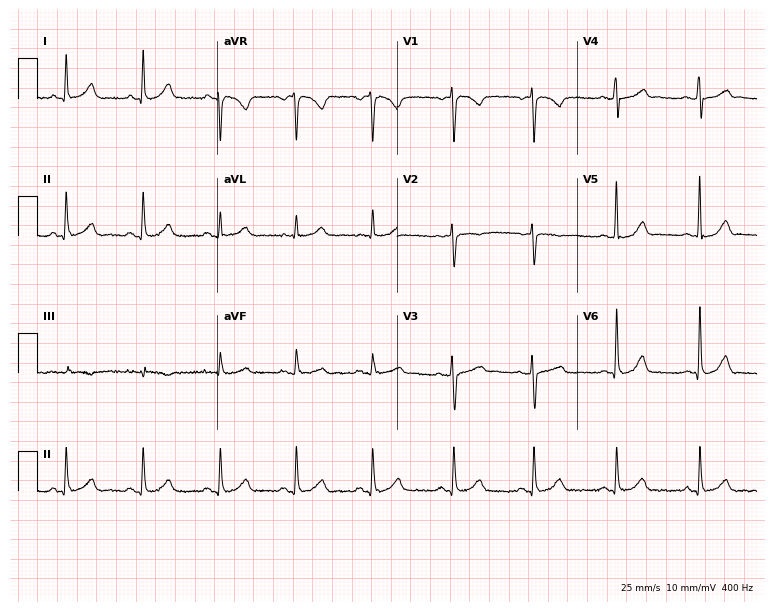
12-lead ECG from a woman, 34 years old. Labelled as a normal ECG.